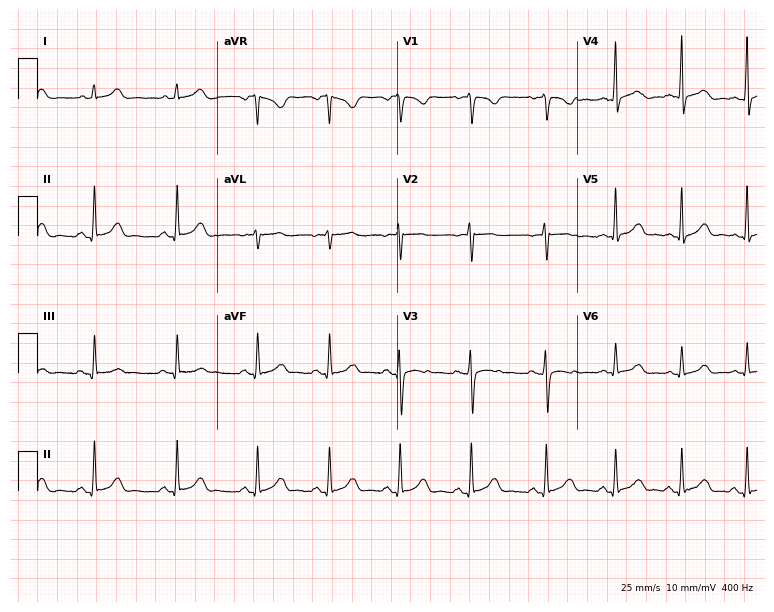
Resting 12-lead electrocardiogram (7.3-second recording at 400 Hz). Patient: a 30-year-old female. Read as a normal ECG.